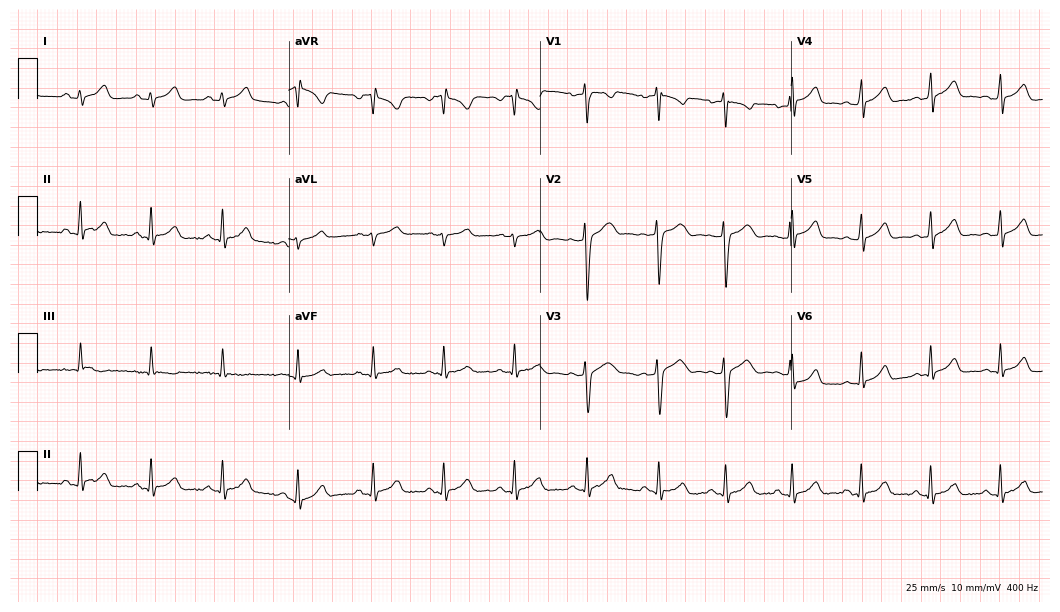
Standard 12-lead ECG recorded from a 19-year-old woman. Read as a normal ECG.